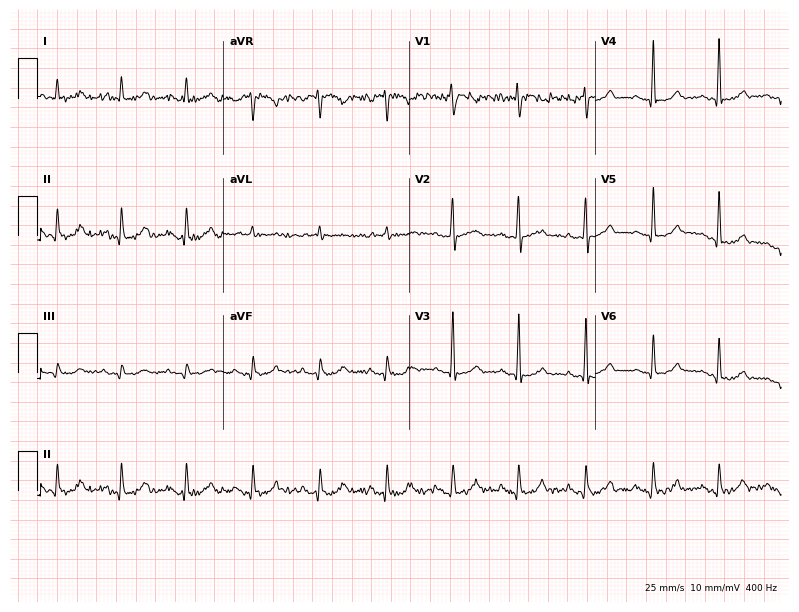
Electrocardiogram, a male patient, 64 years old. Overall reading on record: normal ECG.